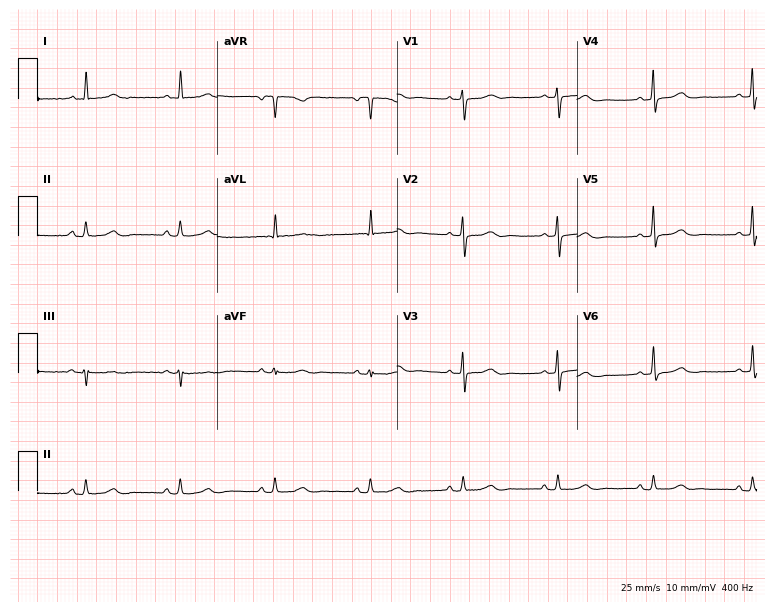
Resting 12-lead electrocardiogram (7.3-second recording at 400 Hz). Patient: a female, 76 years old. None of these six findings is recorded: first-degree AV block, right bundle branch block, left bundle branch block, sinus bradycardia, atrial fibrillation, sinus tachycardia.